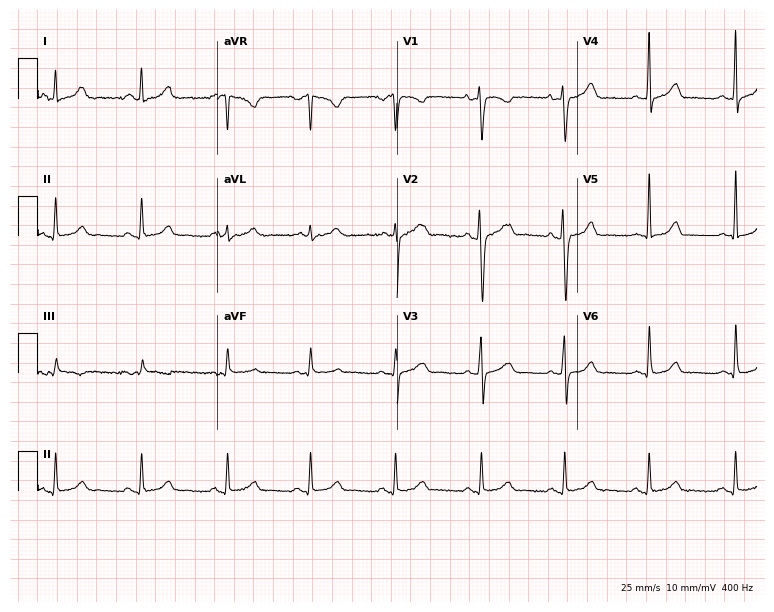
Resting 12-lead electrocardiogram (7.3-second recording at 400 Hz). Patient: a 24-year-old female. Read as a normal ECG.